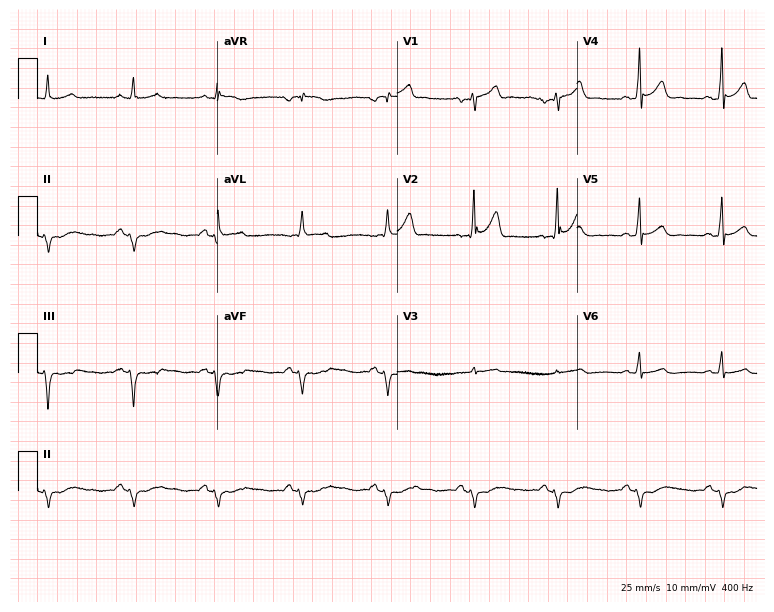
Standard 12-lead ECG recorded from a 59-year-old male. None of these six findings is recorded: first-degree AV block, right bundle branch block, left bundle branch block, sinus bradycardia, atrial fibrillation, sinus tachycardia.